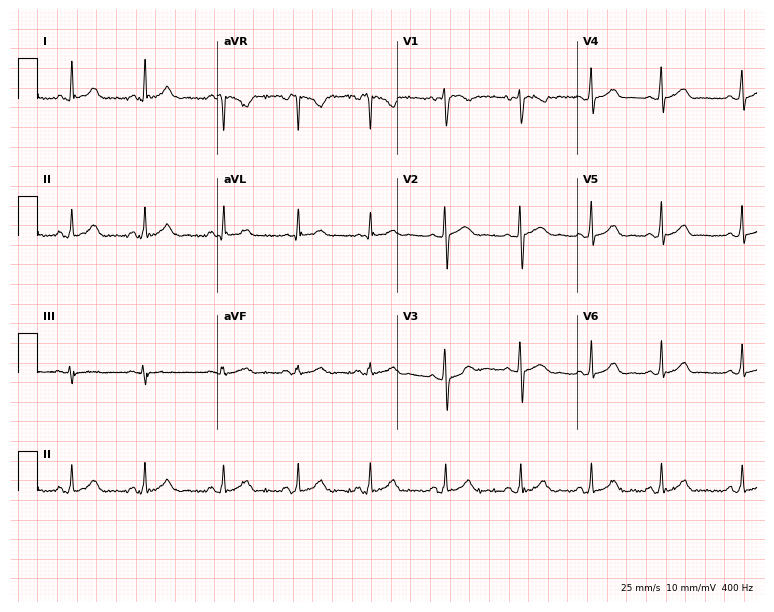
Electrocardiogram, a female, 27 years old. Overall reading on record: normal ECG.